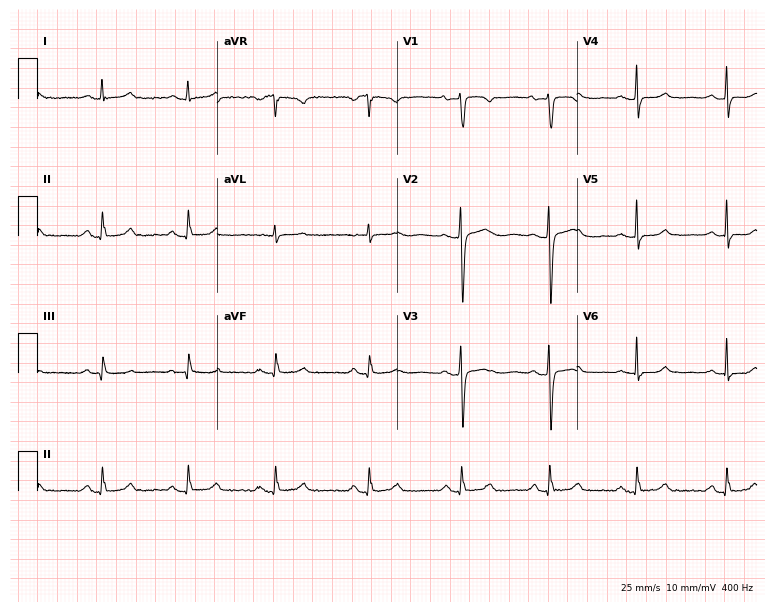
Standard 12-lead ECG recorded from a female patient, 48 years old (7.3-second recording at 400 Hz). Read as a normal ECG.